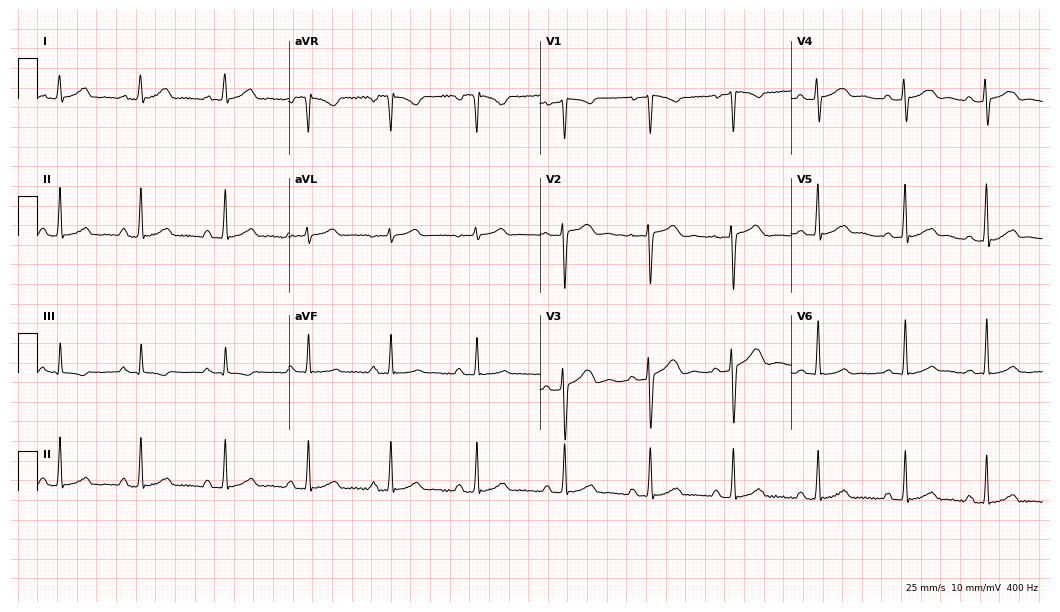
12-lead ECG from a female, 34 years old (10.2-second recording at 400 Hz). Recorded interpretation: within normal limits.